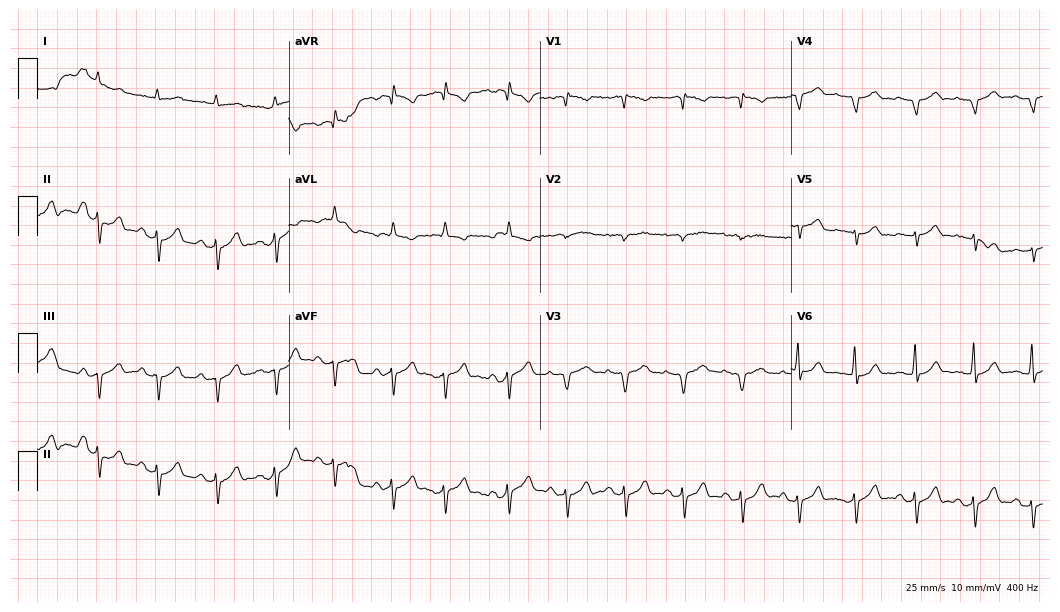
12-lead ECG from a man, 75 years old (10.2-second recording at 400 Hz). No first-degree AV block, right bundle branch block, left bundle branch block, sinus bradycardia, atrial fibrillation or sinus tachycardia recorded for this tracing.